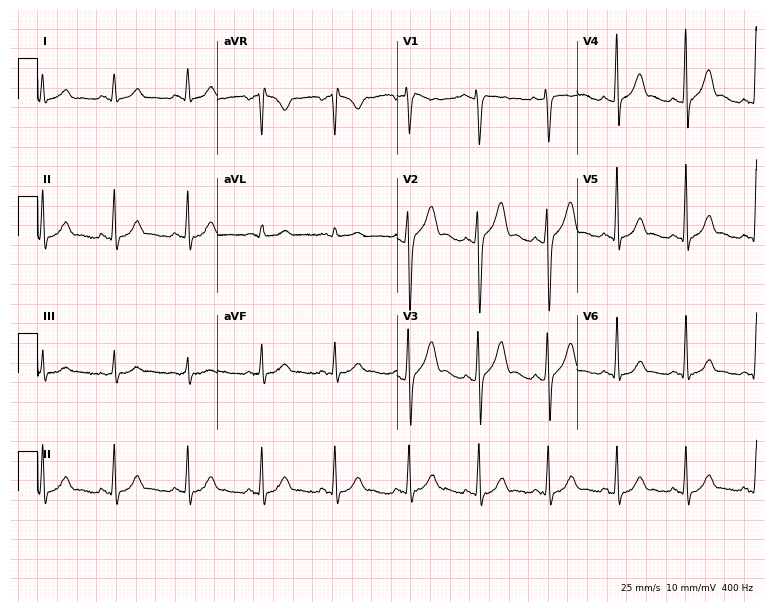
12-lead ECG from a male patient, 23 years old. No first-degree AV block, right bundle branch block, left bundle branch block, sinus bradycardia, atrial fibrillation or sinus tachycardia recorded for this tracing. Findings outside these six are not listed.